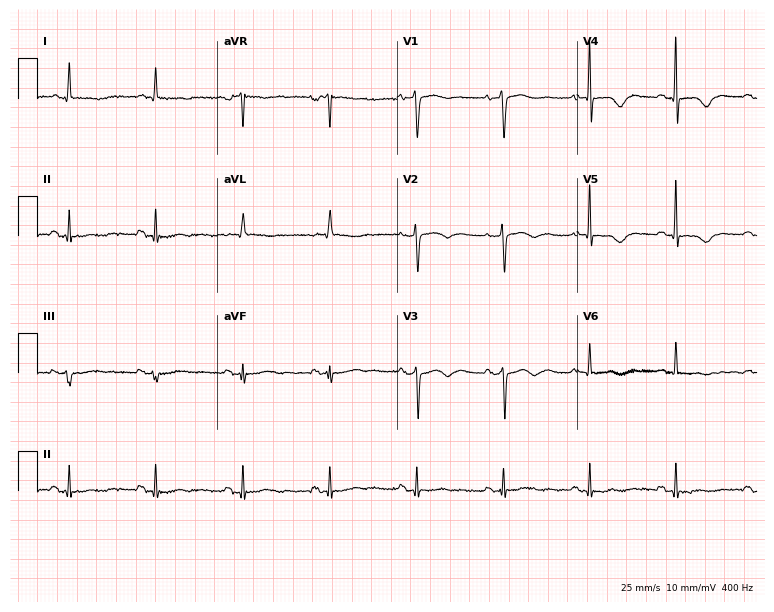
12-lead ECG (7.3-second recording at 400 Hz) from an 82-year-old female patient. Screened for six findings — first-degree AV block, right bundle branch block, left bundle branch block, sinus bradycardia, atrial fibrillation, sinus tachycardia — none is recorded.